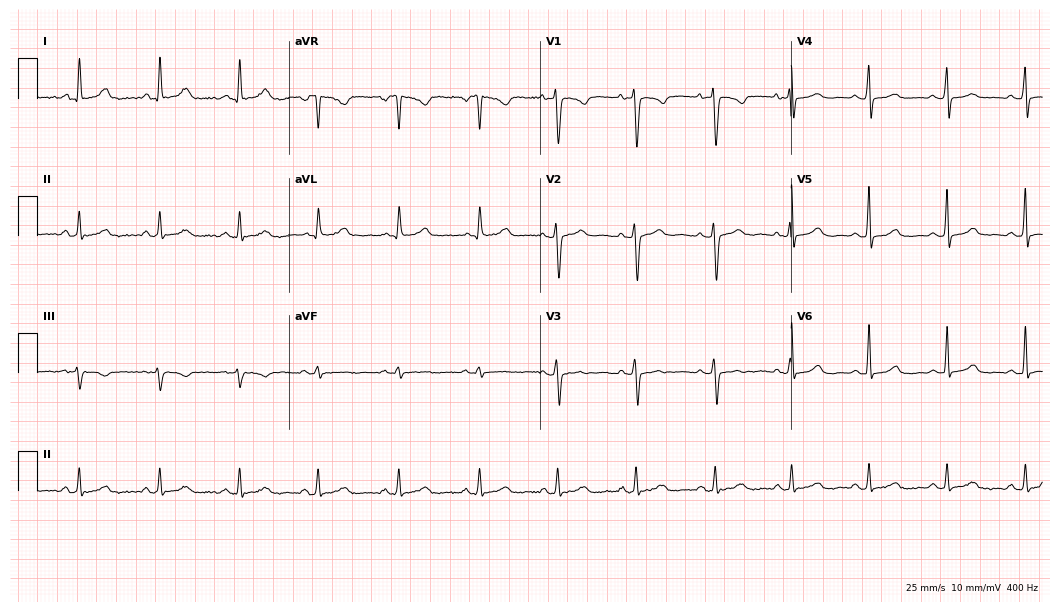
12-lead ECG (10.2-second recording at 400 Hz) from a 42-year-old female. Labelled as a normal ECG.